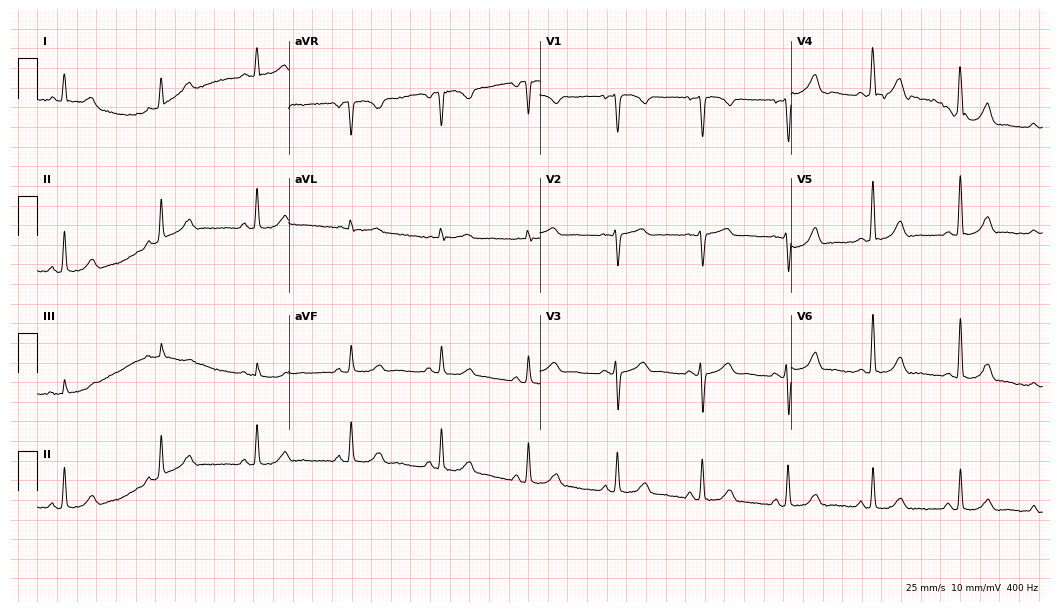
12-lead ECG from a 47-year-old woman. Recorded interpretation: within normal limits.